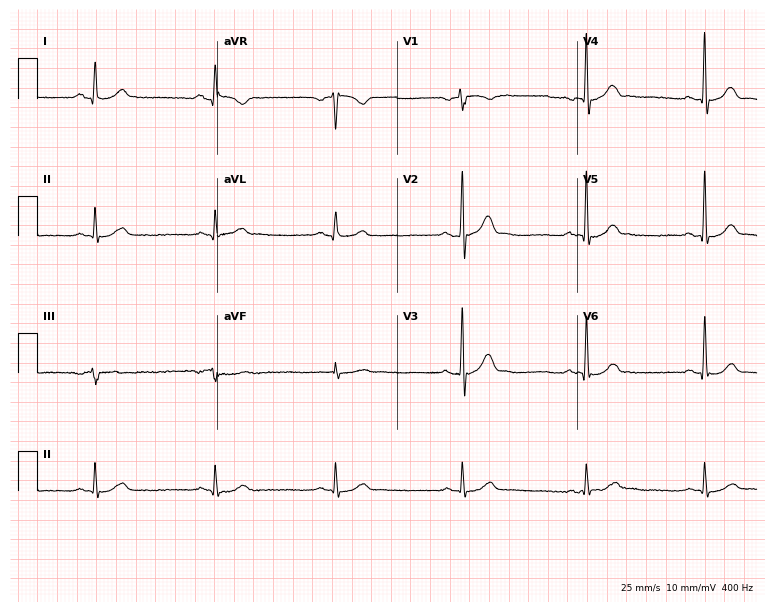
Standard 12-lead ECG recorded from a 52-year-old male. The tracing shows sinus bradycardia (a sinus rate of 50 beats per minute or less).